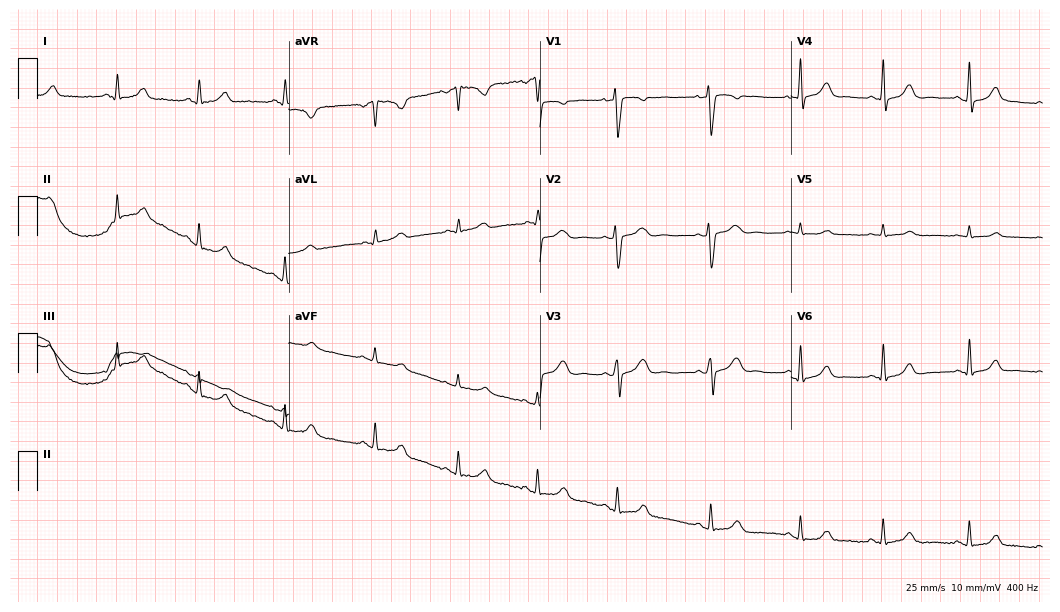
12-lead ECG from a 36-year-old female (10.2-second recording at 400 Hz). Recorded interpretation: within normal limits.